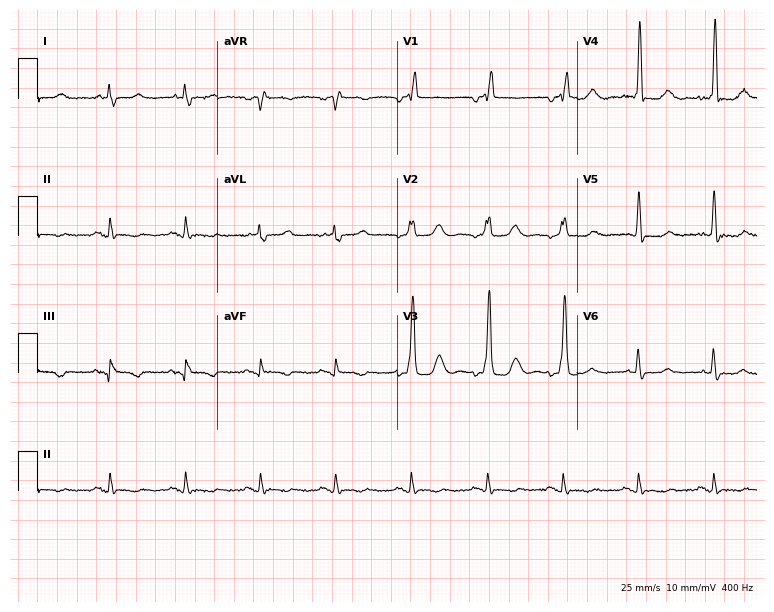
Standard 12-lead ECG recorded from a male patient, 80 years old. The tracing shows right bundle branch block (RBBB).